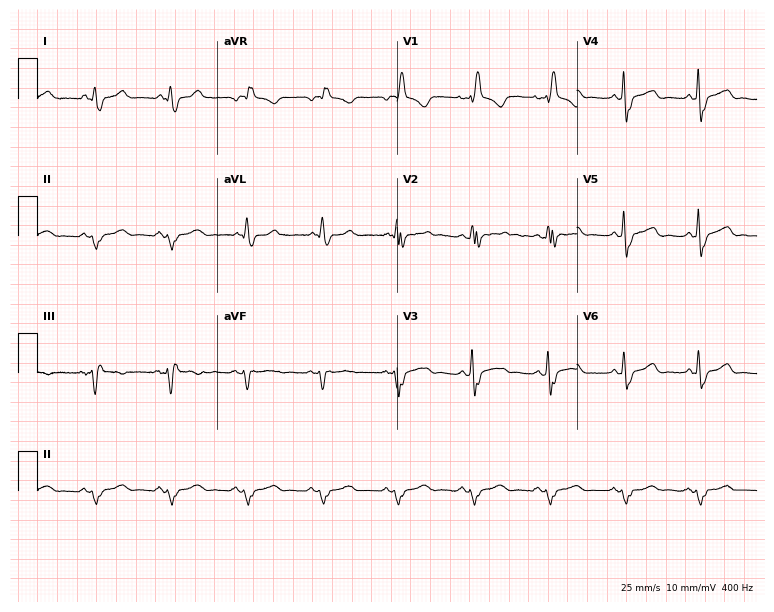
12-lead ECG (7.3-second recording at 400 Hz) from a woman, 61 years old. Findings include right bundle branch block.